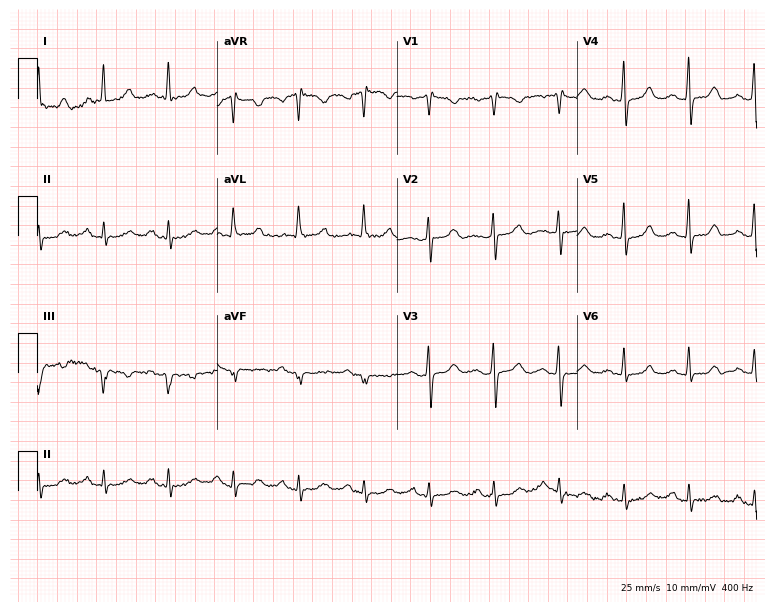
Resting 12-lead electrocardiogram (7.3-second recording at 400 Hz). Patient: a female, 71 years old. None of these six findings is recorded: first-degree AV block, right bundle branch block, left bundle branch block, sinus bradycardia, atrial fibrillation, sinus tachycardia.